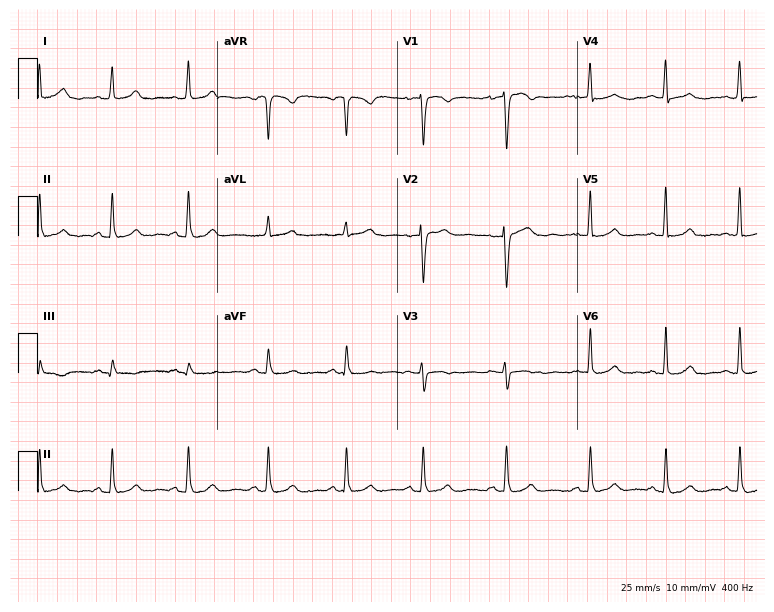
12-lead ECG (7.3-second recording at 400 Hz) from a 38-year-old female patient. Labelled as a normal ECG.